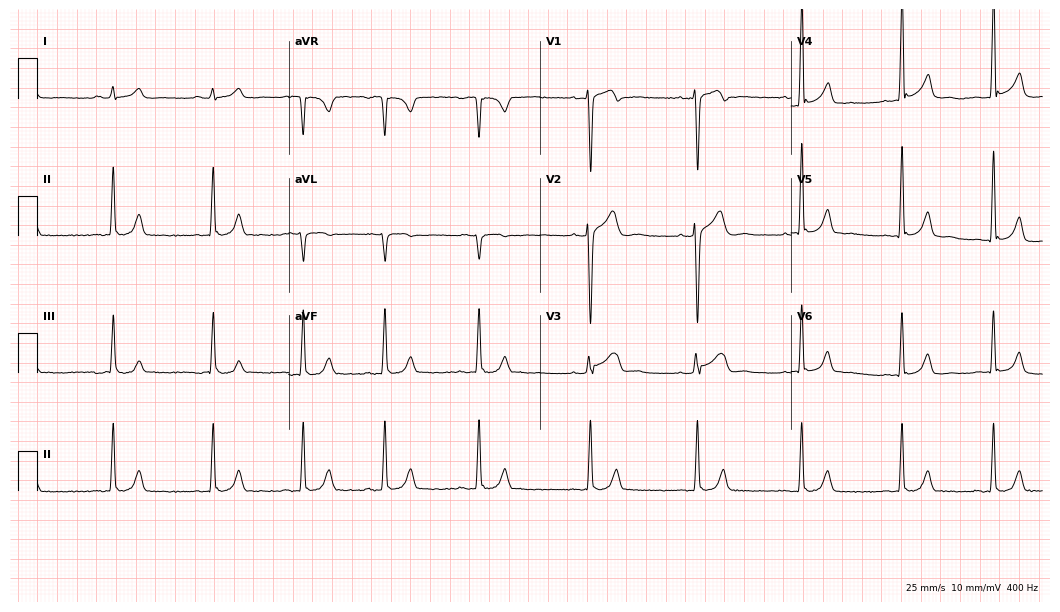
12-lead ECG from a 22-year-old man (10.2-second recording at 400 Hz). Recorded interpretation: within normal limits.